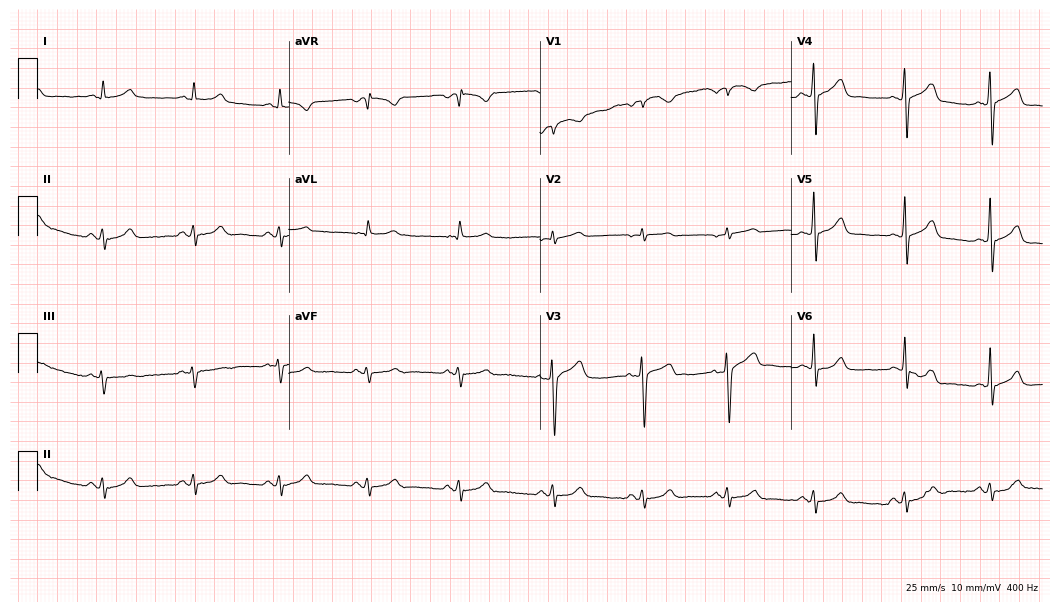
ECG — a man, 48 years old. Screened for six findings — first-degree AV block, right bundle branch block, left bundle branch block, sinus bradycardia, atrial fibrillation, sinus tachycardia — none is recorded. Findings outside these six are not listed.